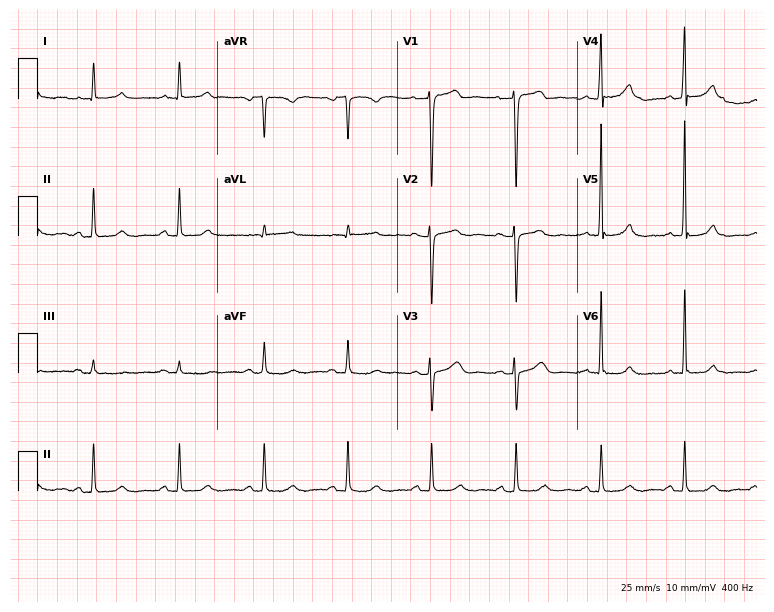
ECG (7.3-second recording at 400 Hz) — a female, 45 years old. Labelled as a normal ECG.